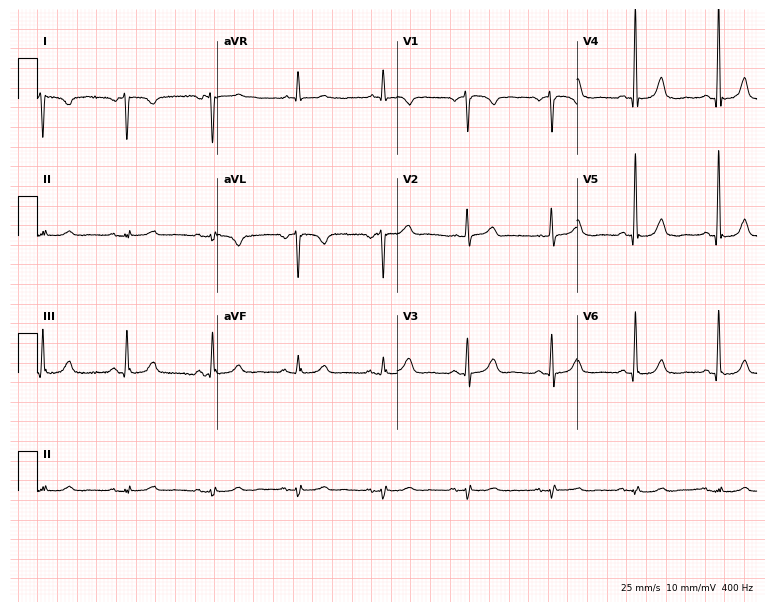
12-lead ECG from a 64-year-old female (7.3-second recording at 400 Hz). No first-degree AV block, right bundle branch block, left bundle branch block, sinus bradycardia, atrial fibrillation or sinus tachycardia recorded for this tracing. Other findings, if any, are not listed.